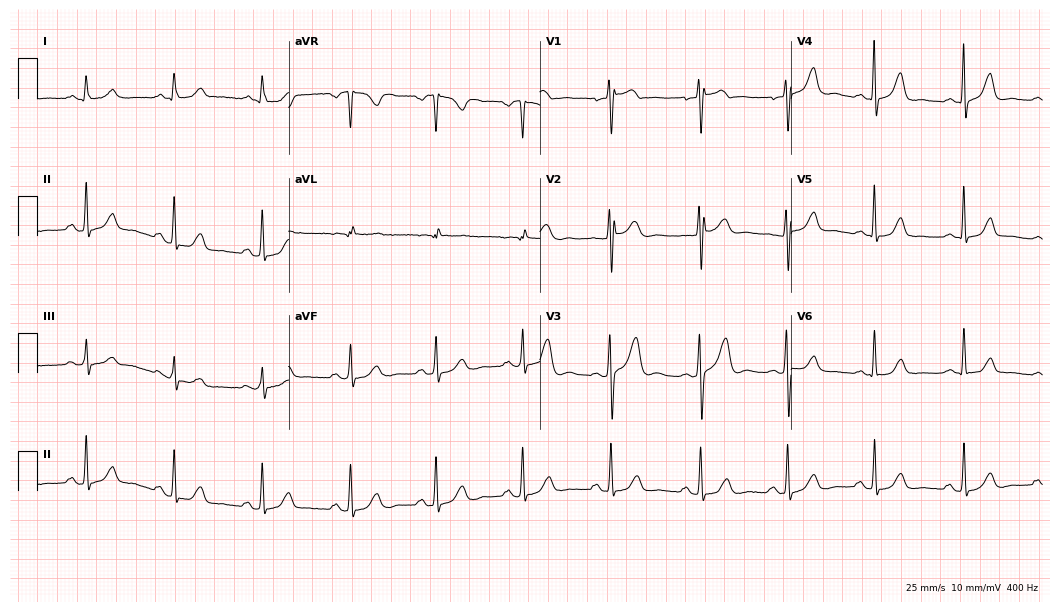
Standard 12-lead ECG recorded from a 60-year-old female patient (10.2-second recording at 400 Hz). Read as a normal ECG.